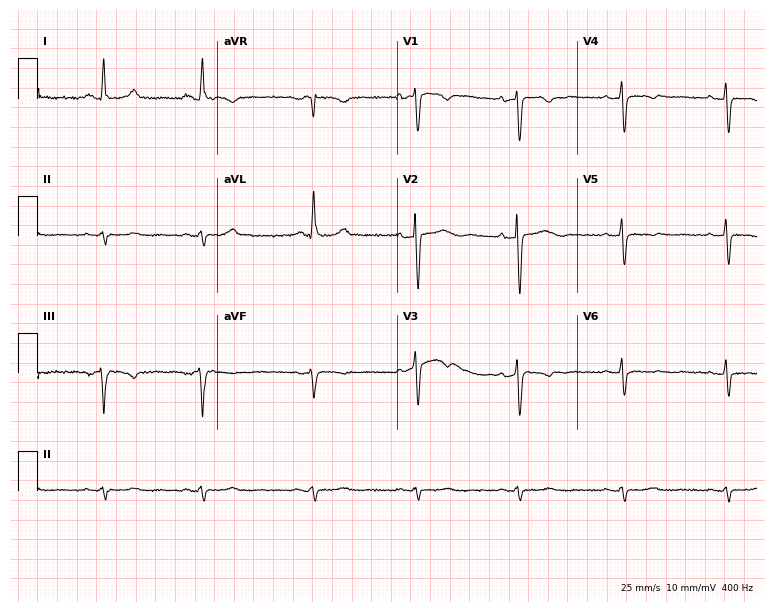
12-lead ECG from a 62-year-old woman. No first-degree AV block, right bundle branch block (RBBB), left bundle branch block (LBBB), sinus bradycardia, atrial fibrillation (AF) or sinus tachycardia recorded for this tracing.